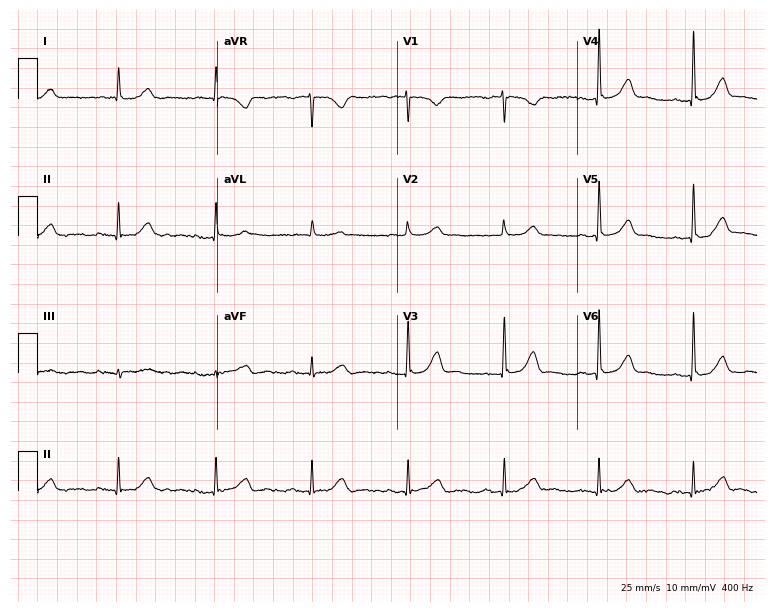
12-lead ECG (7.3-second recording at 400 Hz) from a 78-year-old woman. Labelled as a normal ECG.